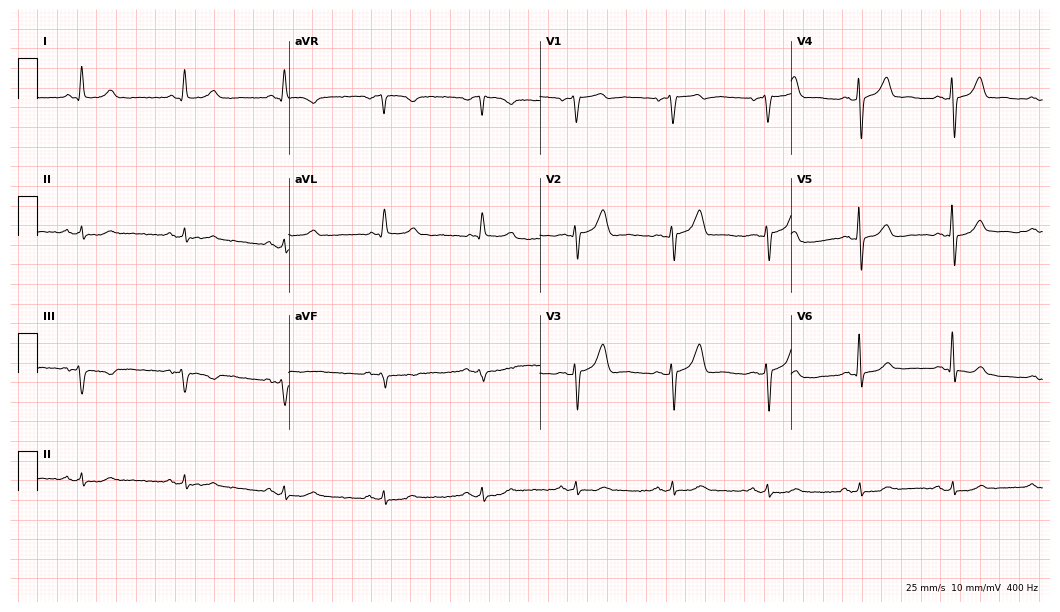
Standard 12-lead ECG recorded from a man, 82 years old (10.2-second recording at 400 Hz). Read as a normal ECG.